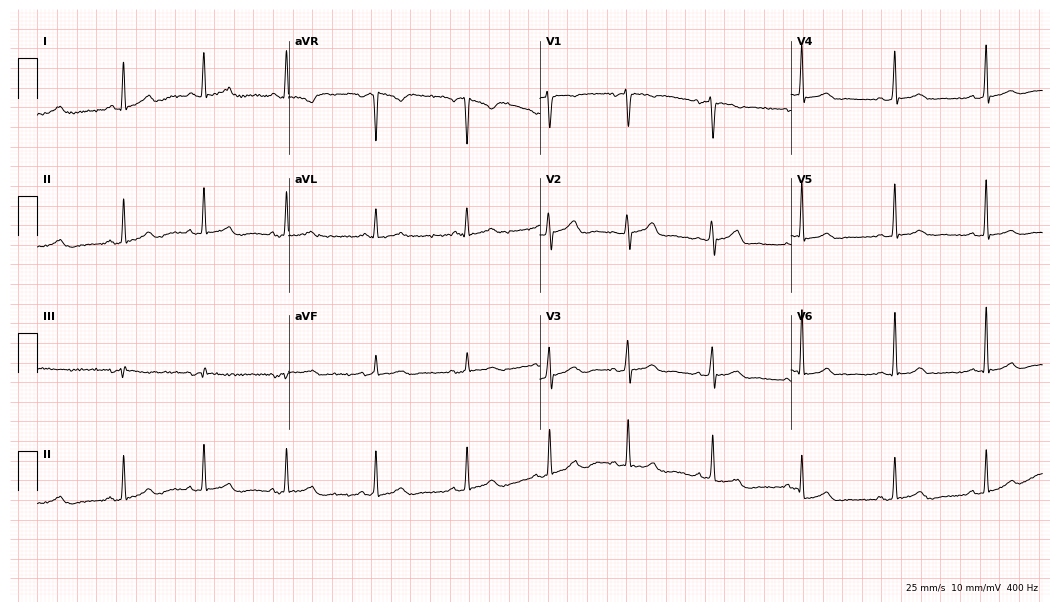
Standard 12-lead ECG recorded from a 46-year-old female patient. Read as a normal ECG.